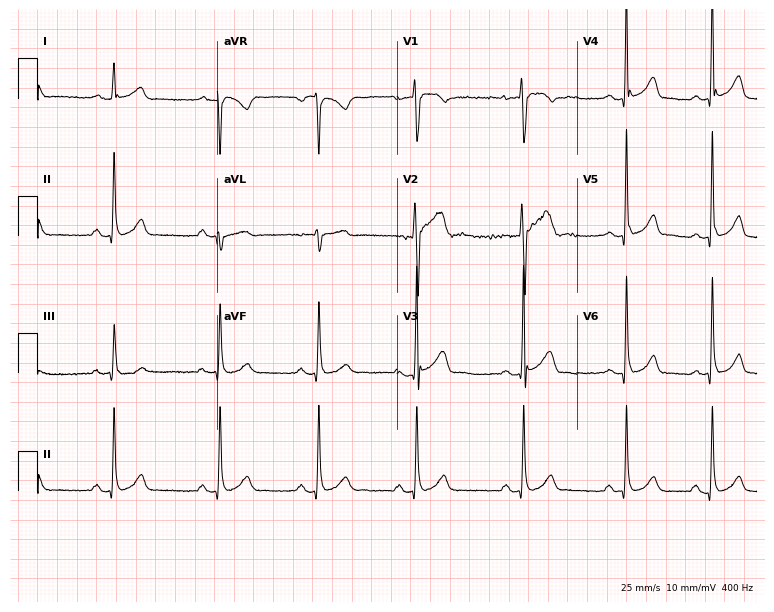
Electrocardiogram, a 20-year-old male patient. Of the six screened findings (first-degree AV block, right bundle branch block, left bundle branch block, sinus bradycardia, atrial fibrillation, sinus tachycardia), none is recorded. Other findings, if any, are not listed.